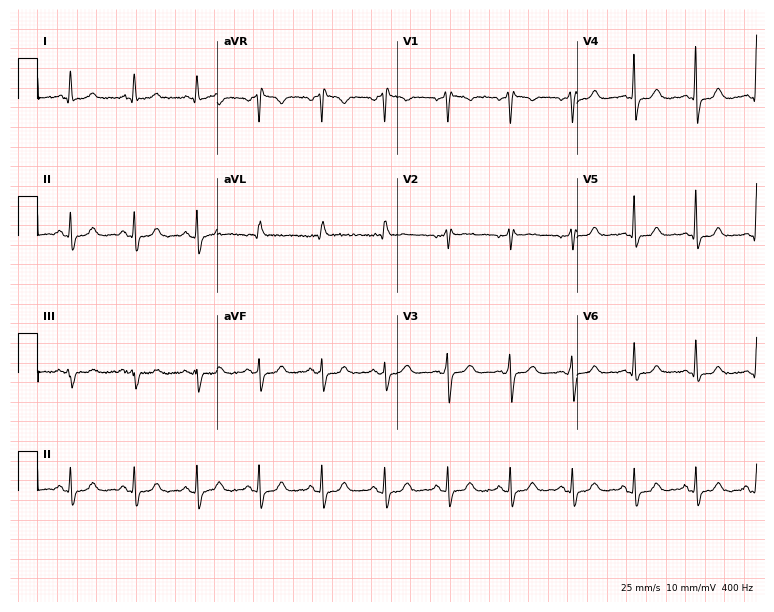
Electrocardiogram (7.3-second recording at 400 Hz), a female, 51 years old. Of the six screened findings (first-degree AV block, right bundle branch block, left bundle branch block, sinus bradycardia, atrial fibrillation, sinus tachycardia), none is recorded. Other findings, if any, are not listed.